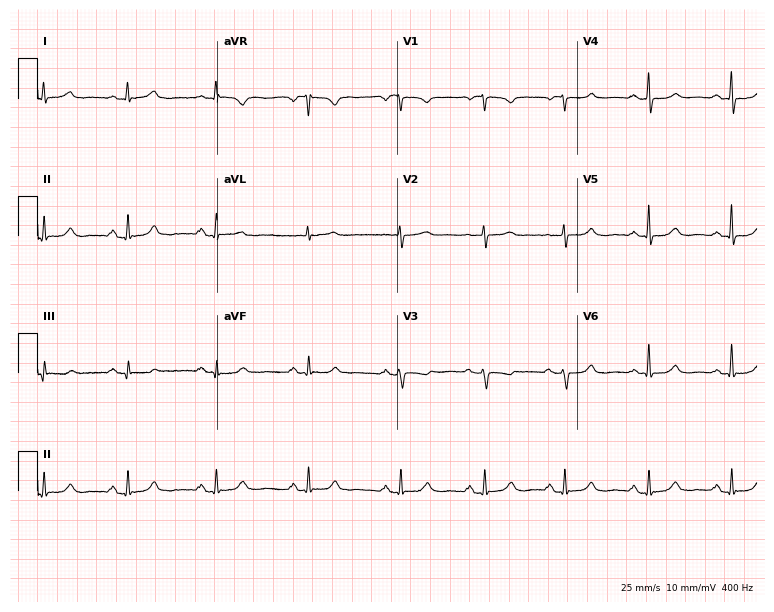
Resting 12-lead electrocardiogram. Patient: a 46-year-old female. Read as a normal ECG.